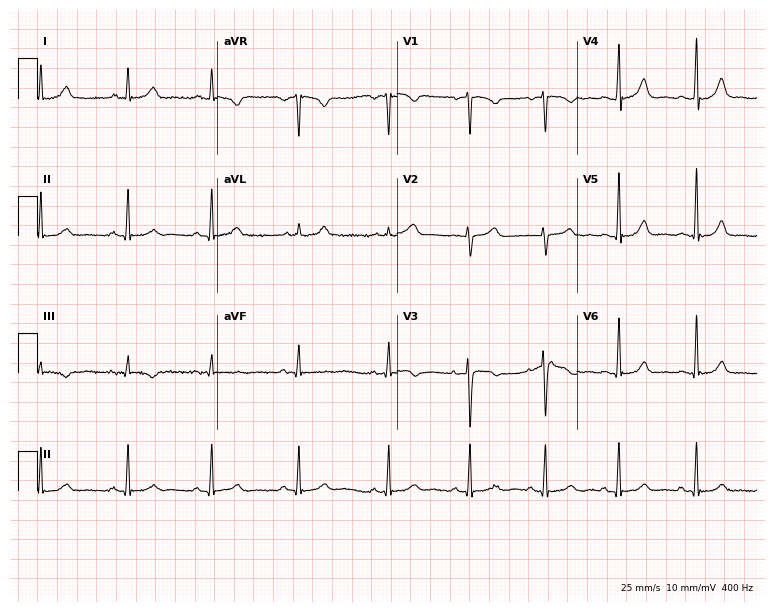
ECG (7.3-second recording at 400 Hz) — a 44-year-old female. Labelled as a normal ECG.